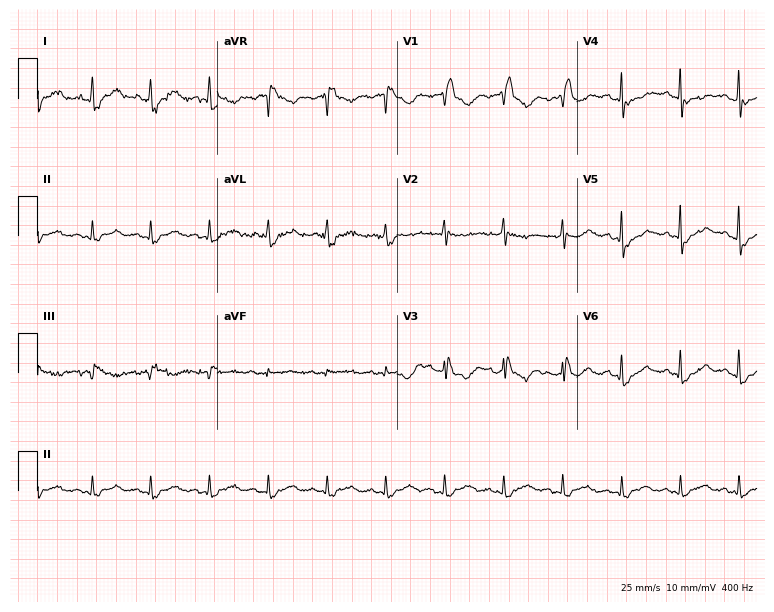
12-lead ECG (7.3-second recording at 400 Hz) from a woman, 61 years old. Findings include right bundle branch block.